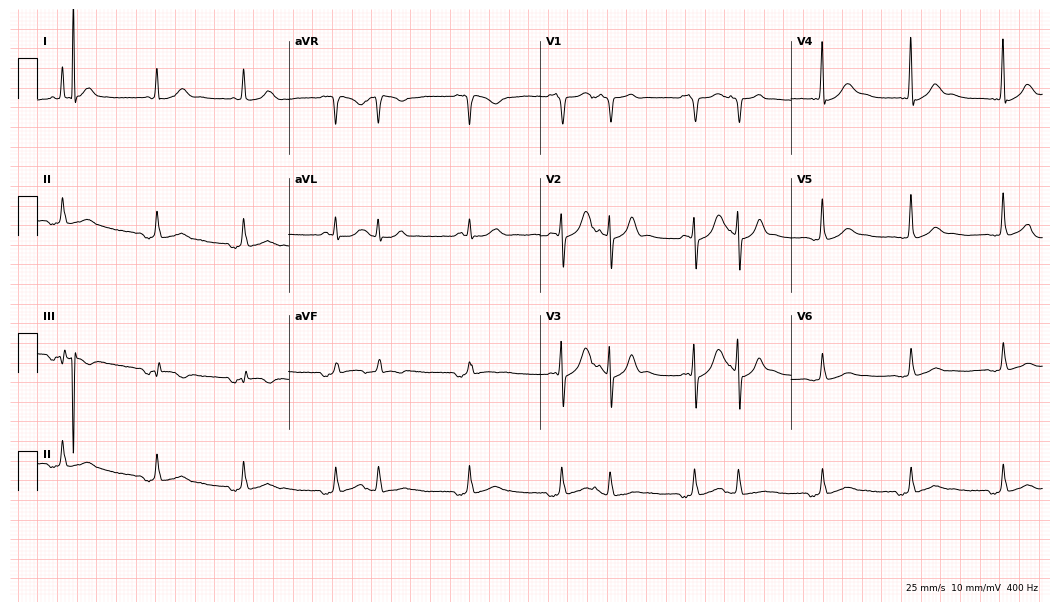
12-lead ECG from a 69-year-old female patient (10.2-second recording at 400 Hz). No first-degree AV block, right bundle branch block (RBBB), left bundle branch block (LBBB), sinus bradycardia, atrial fibrillation (AF) or sinus tachycardia recorded for this tracing.